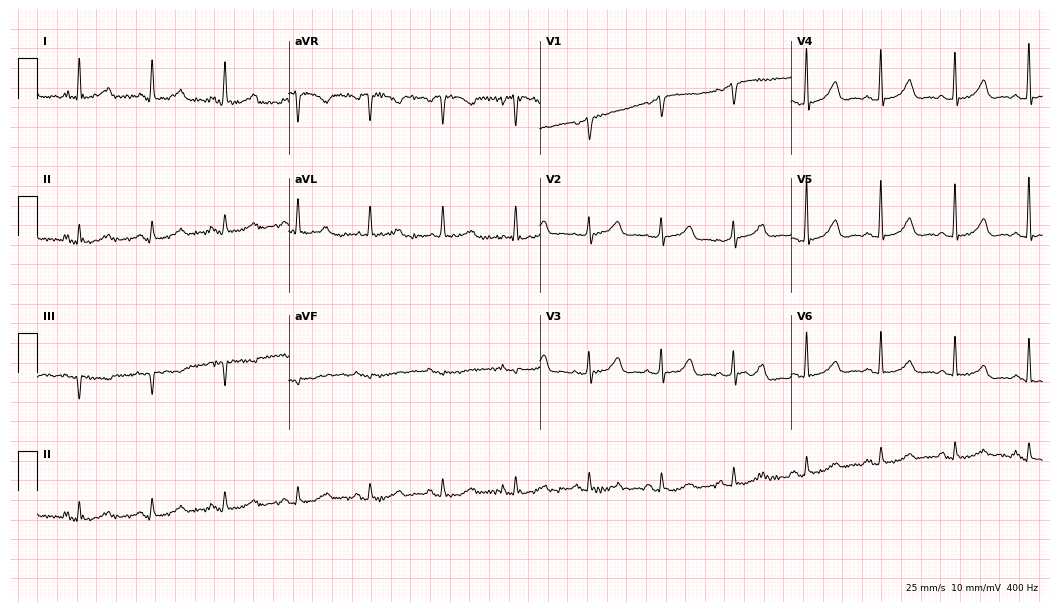
12-lead ECG from a 79-year-old female patient (10.2-second recording at 400 Hz). Recorded interpretation: within normal limits.